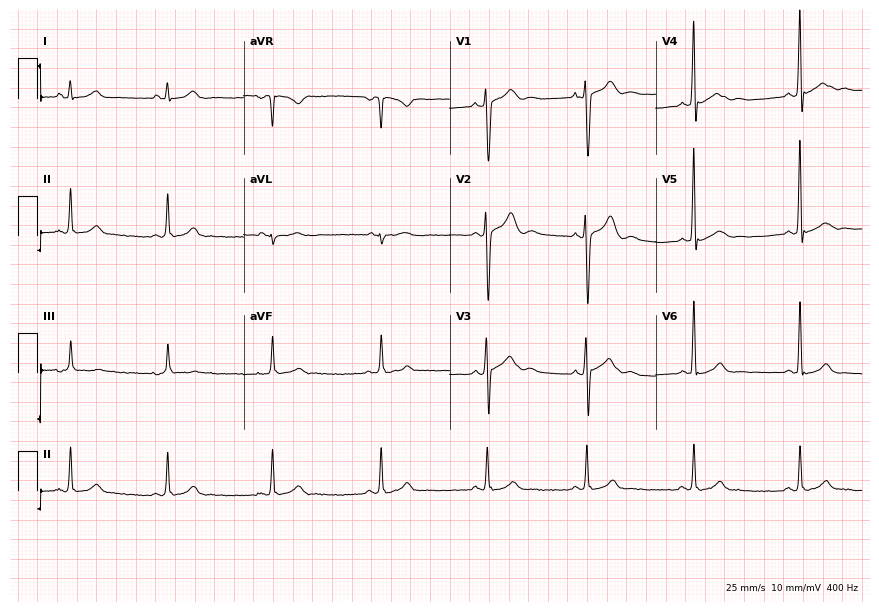
ECG — a man, 18 years old. Labelled as a normal ECG.